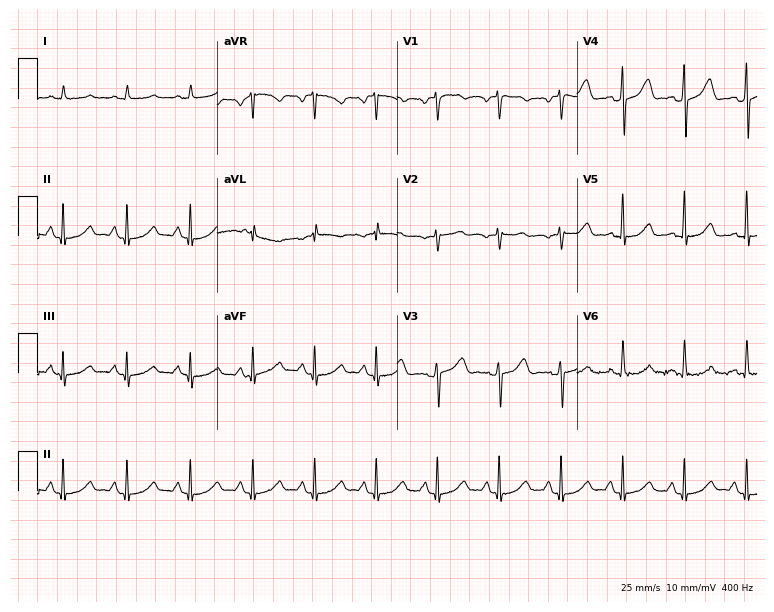
12-lead ECG from a woman, 68 years old. Screened for six findings — first-degree AV block, right bundle branch block, left bundle branch block, sinus bradycardia, atrial fibrillation, sinus tachycardia — none is recorded. Only these six findings were labelled.